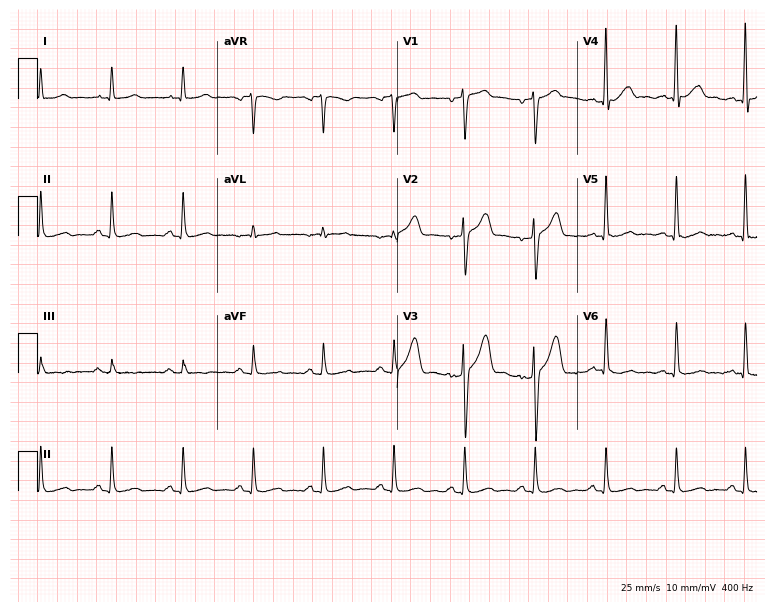
ECG — a 54-year-old male. Labelled as a normal ECG.